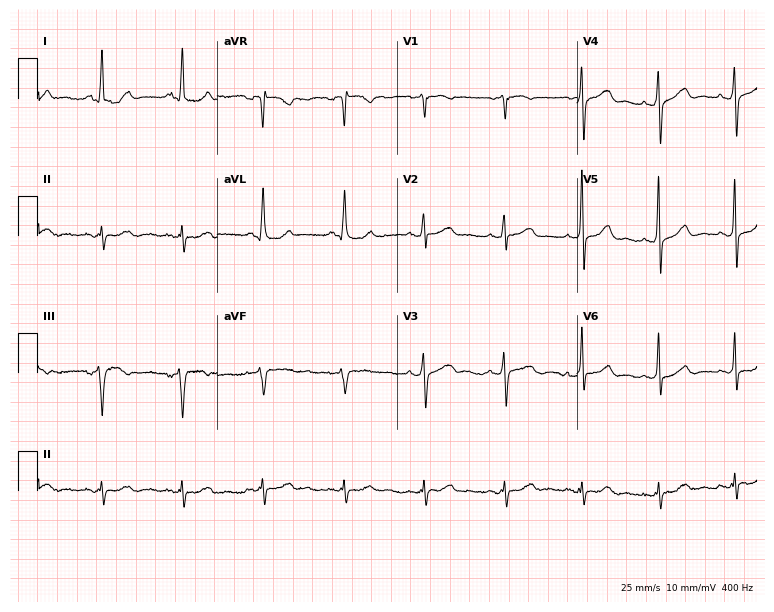
12-lead ECG from a 62-year-old woman. No first-degree AV block, right bundle branch block (RBBB), left bundle branch block (LBBB), sinus bradycardia, atrial fibrillation (AF) or sinus tachycardia recorded for this tracing.